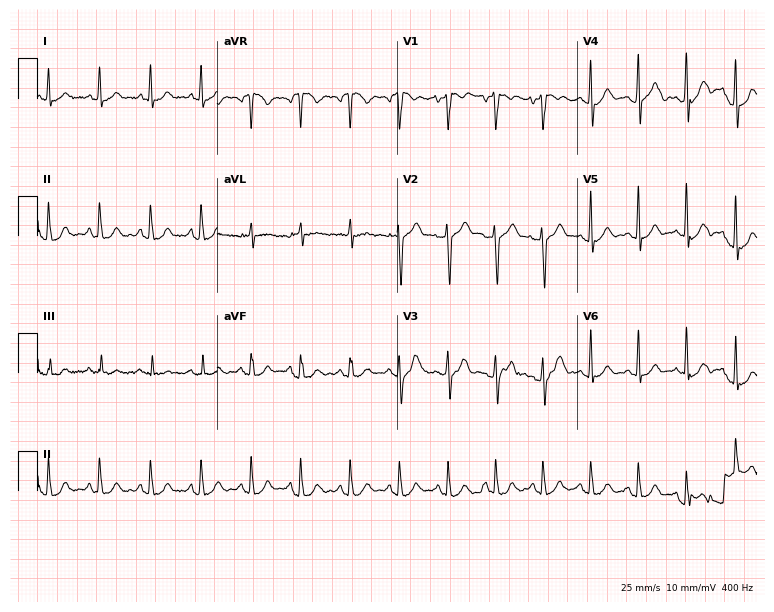
12-lead ECG from a 37-year-old man (7.3-second recording at 400 Hz). Shows sinus tachycardia (a sinus rate of 100 beats per minute or more).